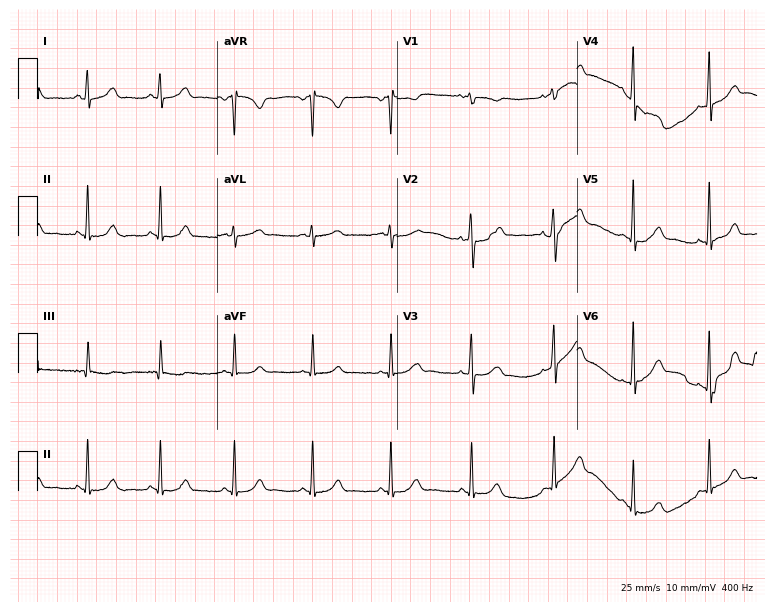
Standard 12-lead ECG recorded from a female, 26 years old. Read as a normal ECG.